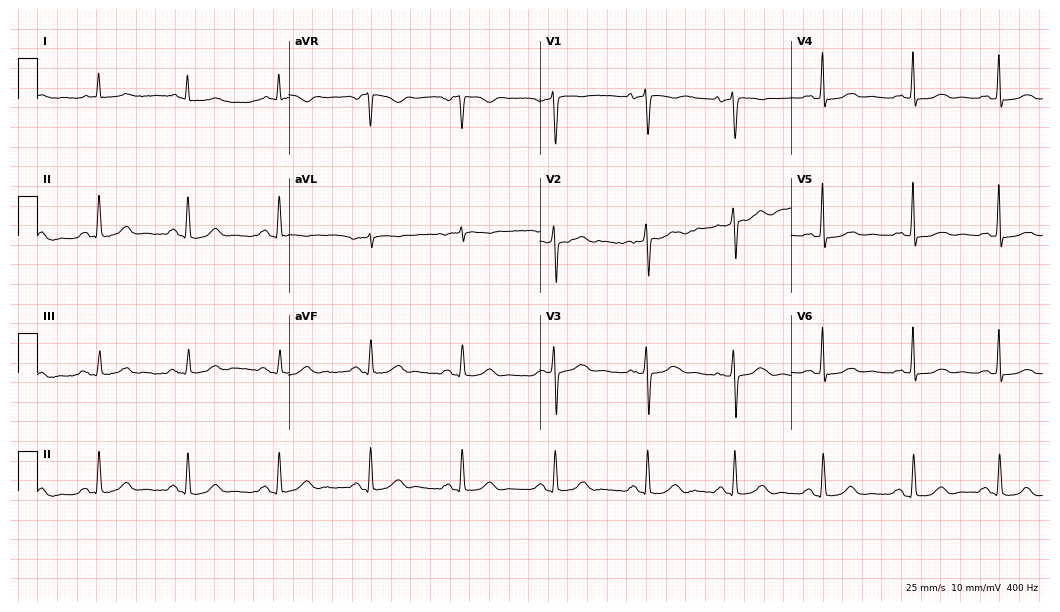
12-lead ECG from a woman, 74 years old. Recorded interpretation: within normal limits.